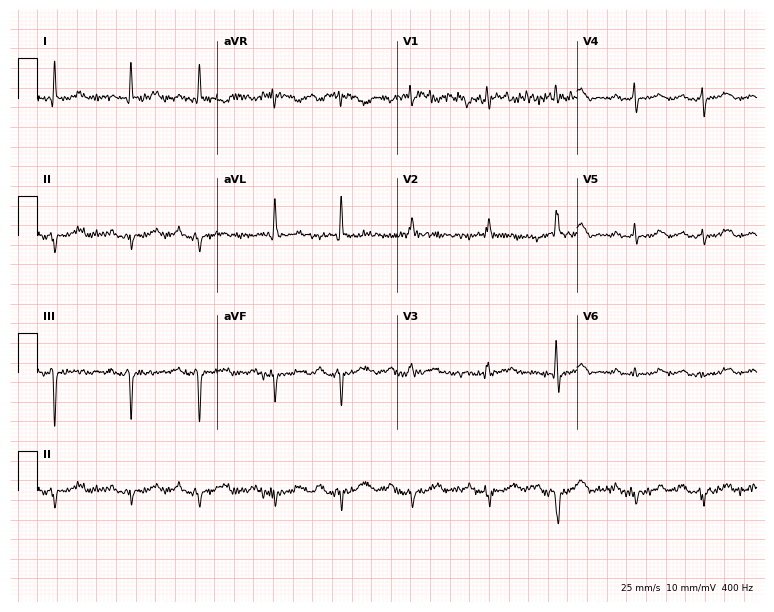
Standard 12-lead ECG recorded from an 84-year-old female patient (7.3-second recording at 400 Hz). None of these six findings is recorded: first-degree AV block, right bundle branch block, left bundle branch block, sinus bradycardia, atrial fibrillation, sinus tachycardia. Findings outside these six are not listed.